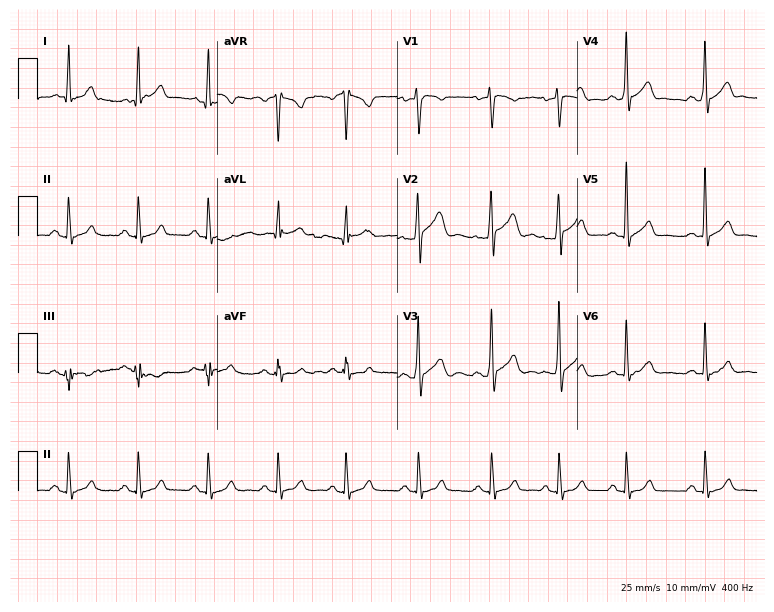
12-lead ECG from a 21-year-old male patient (7.3-second recording at 400 Hz). Recorded interpretation: within normal limits.